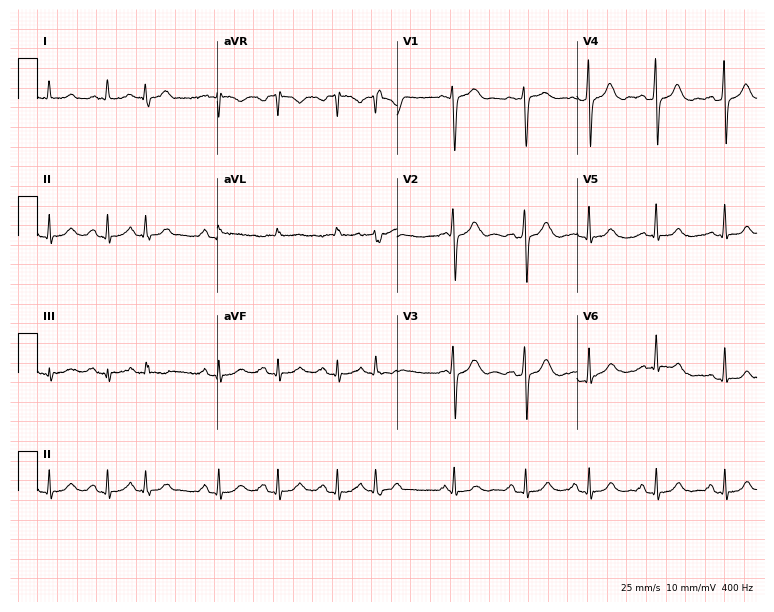
Resting 12-lead electrocardiogram. Patient: a 61-year-old male. Read as a normal ECG.